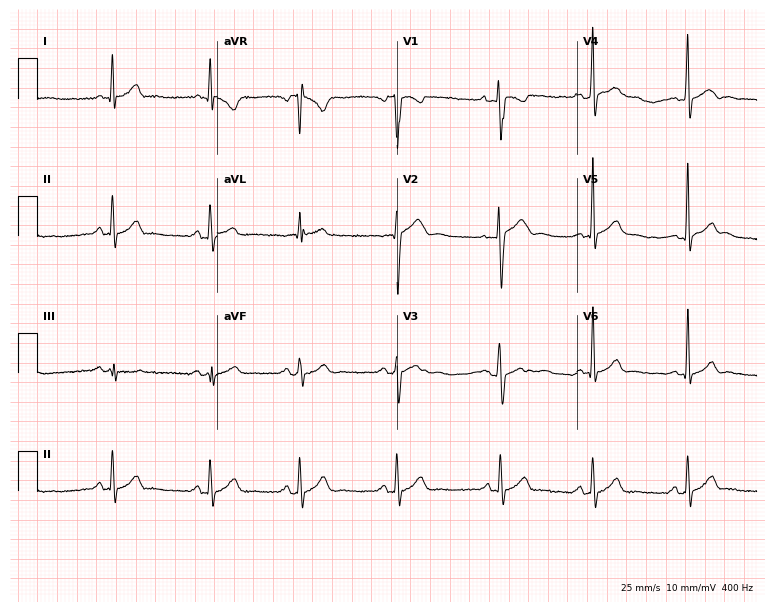
12-lead ECG (7.3-second recording at 400 Hz) from a male patient, 19 years old. Labelled as a normal ECG.